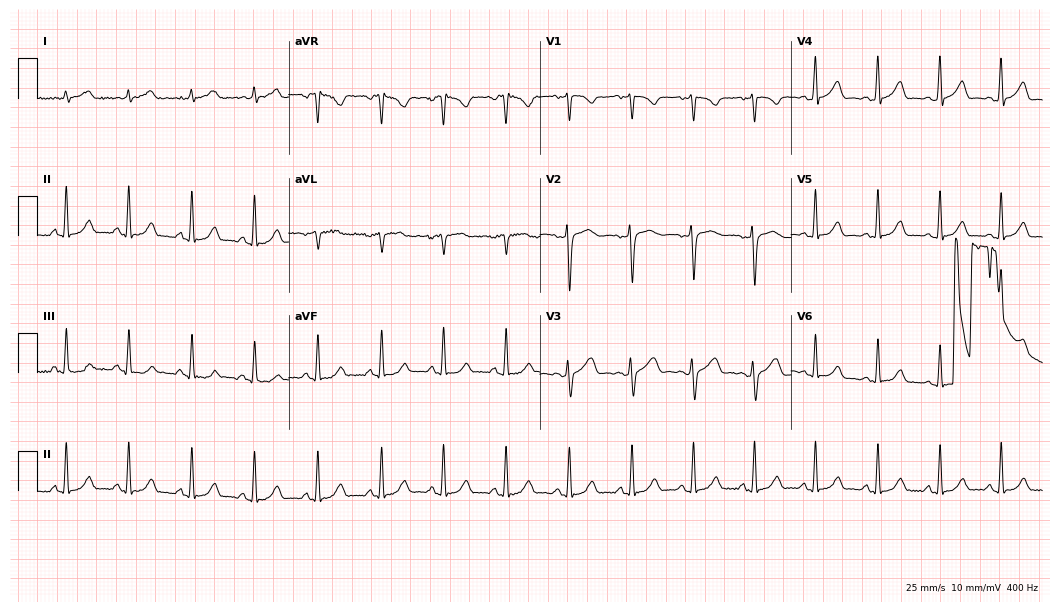
12-lead ECG from a female patient, 23 years old. Labelled as a normal ECG.